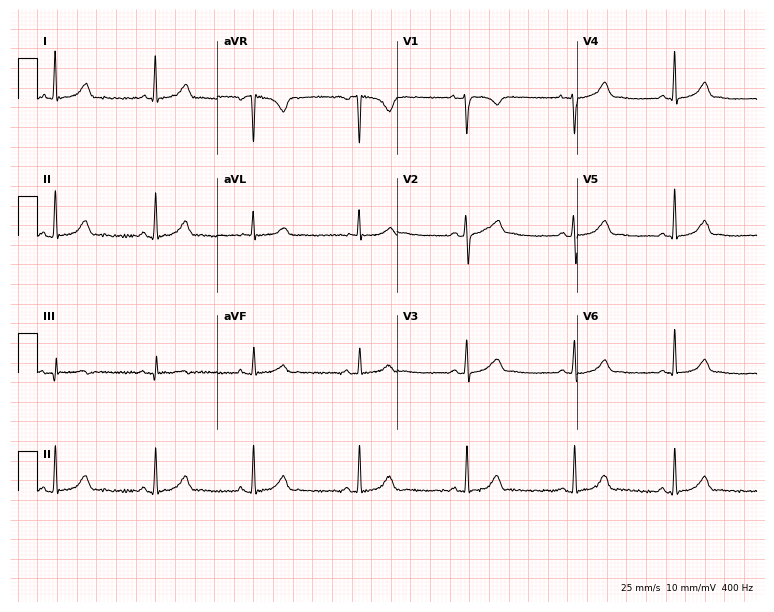
Electrocardiogram (7.3-second recording at 400 Hz), a 22-year-old female patient. Of the six screened findings (first-degree AV block, right bundle branch block (RBBB), left bundle branch block (LBBB), sinus bradycardia, atrial fibrillation (AF), sinus tachycardia), none is recorded. Other findings, if any, are not listed.